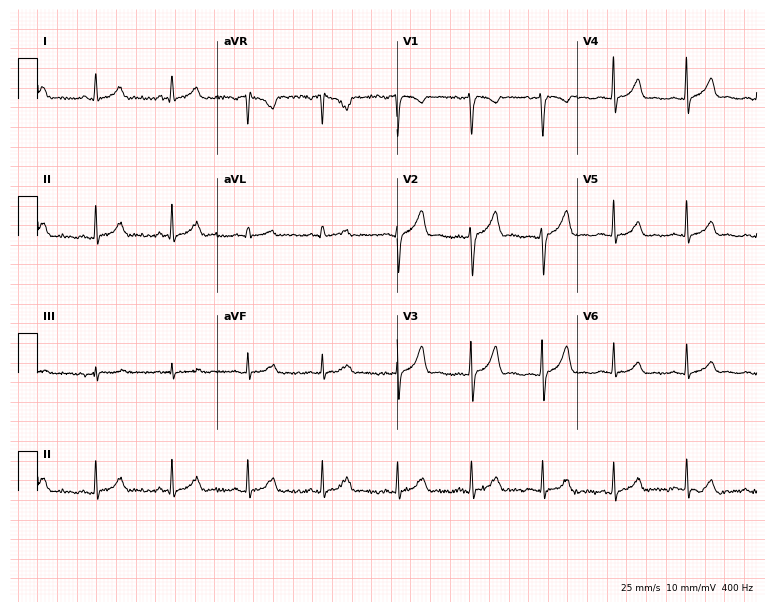
12-lead ECG (7.3-second recording at 400 Hz) from a 24-year-old female patient. Labelled as a normal ECG.